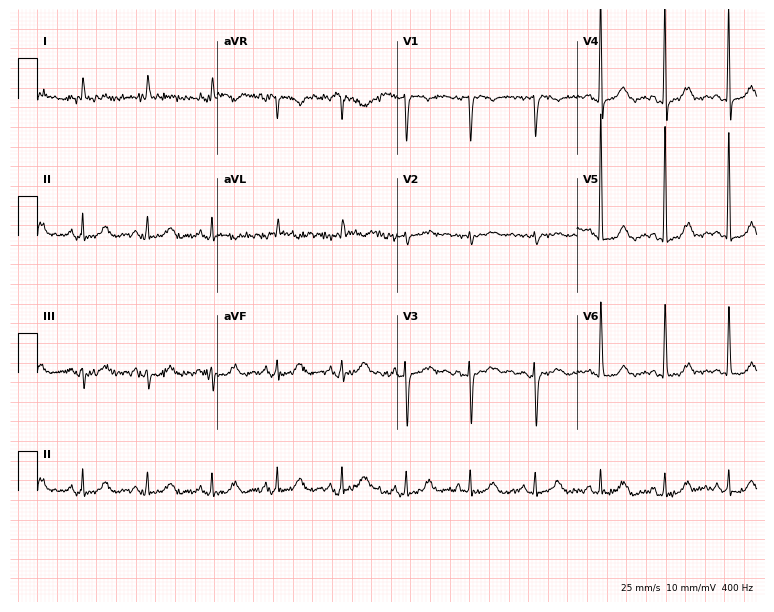
12-lead ECG (7.3-second recording at 400 Hz) from a female, 78 years old. Screened for six findings — first-degree AV block, right bundle branch block, left bundle branch block, sinus bradycardia, atrial fibrillation, sinus tachycardia — none is recorded. Only these six findings were labelled.